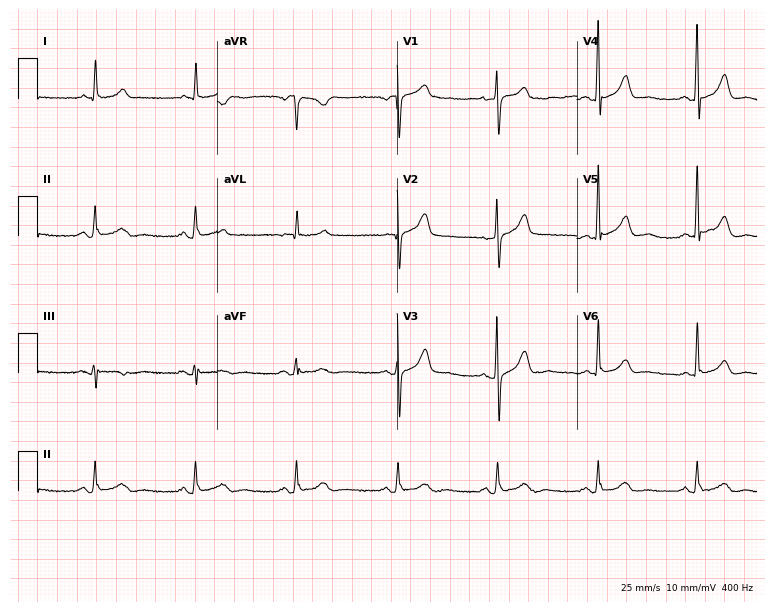
Electrocardiogram (7.3-second recording at 400 Hz), a woman, 67 years old. Overall reading on record: normal ECG.